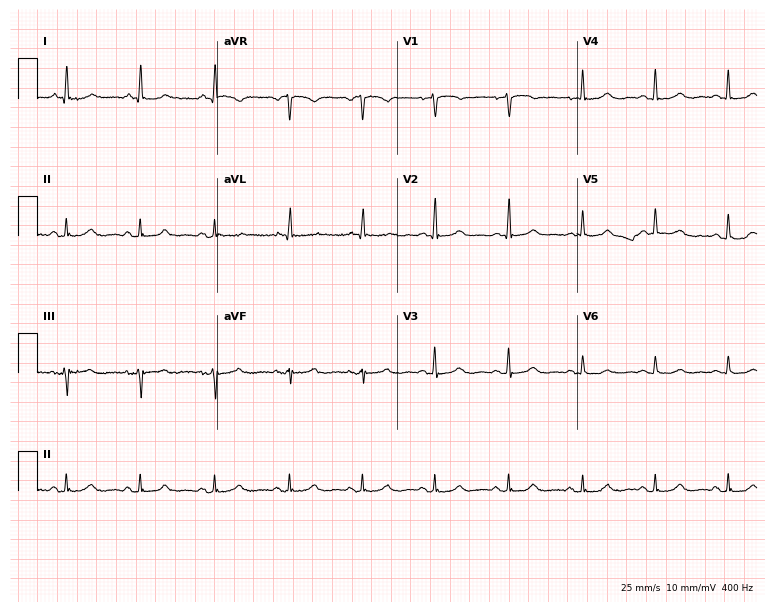
Electrocardiogram, a woman, 85 years old. Of the six screened findings (first-degree AV block, right bundle branch block, left bundle branch block, sinus bradycardia, atrial fibrillation, sinus tachycardia), none is recorded.